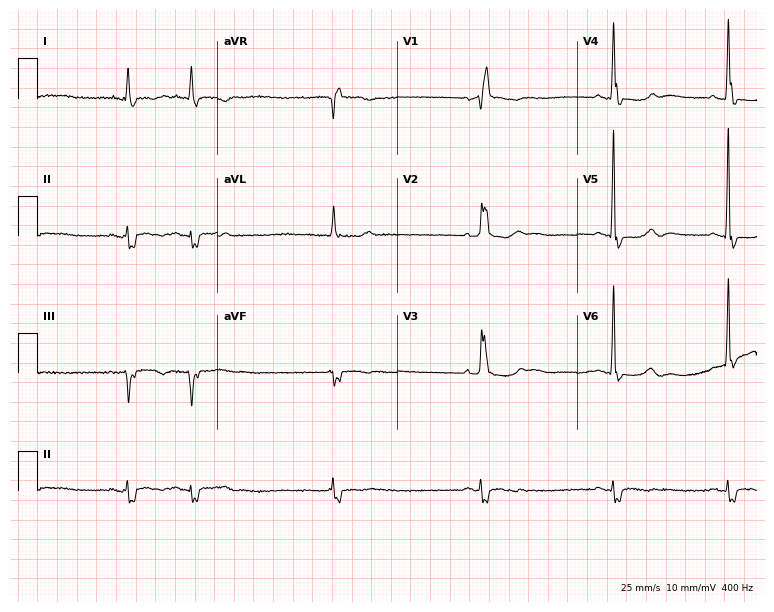
12-lead ECG from a male patient, 72 years old. Shows right bundle branch block, sinus bradycardia (a sinus rate of 50 beats per minute or less).